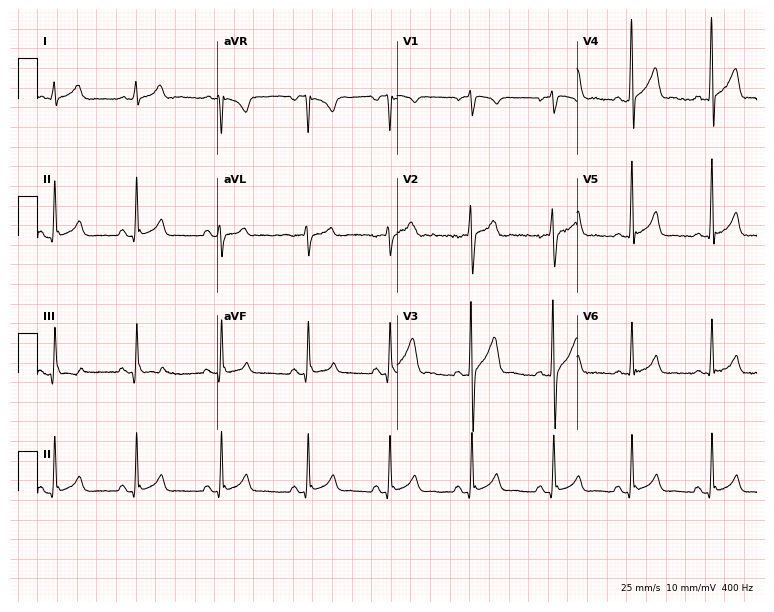
Resting 12-lead electrocardiogram (7.3-second recording at 400 Hz). Patient: a 17-year-old man. Read as a normal ECG.